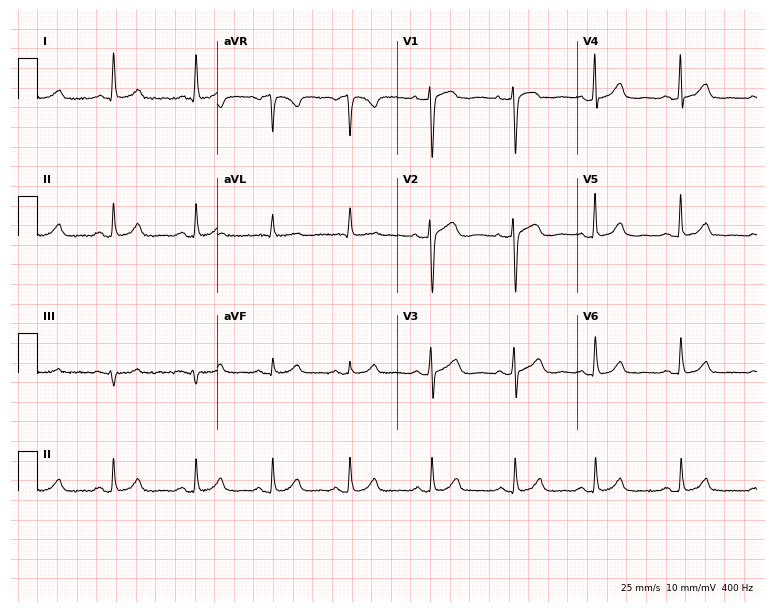
Resting 12-lead electrocardiogram (7.3-second recording at 400 Hz). Patient: a woman, 43 years old. Read as a normal ECG.